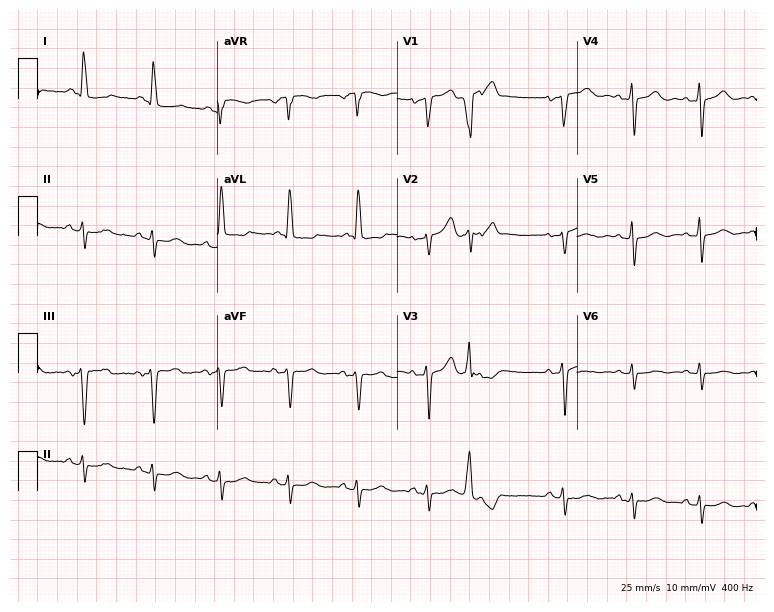
Resting 12-lead electrocardiogram (7.3-second recording at 400 Hz). Patient: an 81-year-old female. None of these six findings is recorded: first-degree AV block, right bundle branch block, left bundle branch block, sinus bradycardia, atrial fibrillation, sinus tachycardia. Only these six findings were labelled.